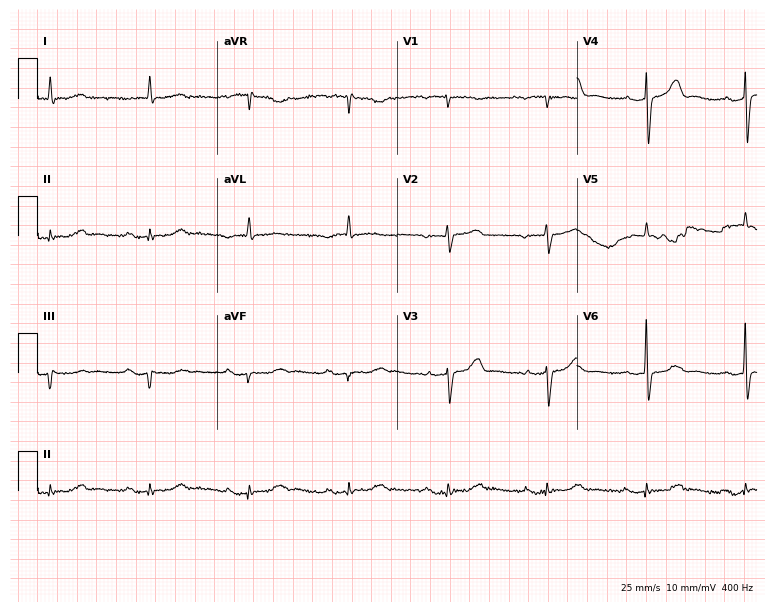
Electrocardiogram (7.3-second recording at 400 Hz), an 83-year-old male. Of the six screened findings (first-degree AV block, right bundle branch block (RBBB), left bundle branch block (LBBB), sinus bradycardia, atrial fibrillation (AF), sinus tachycardia), none is recorded.